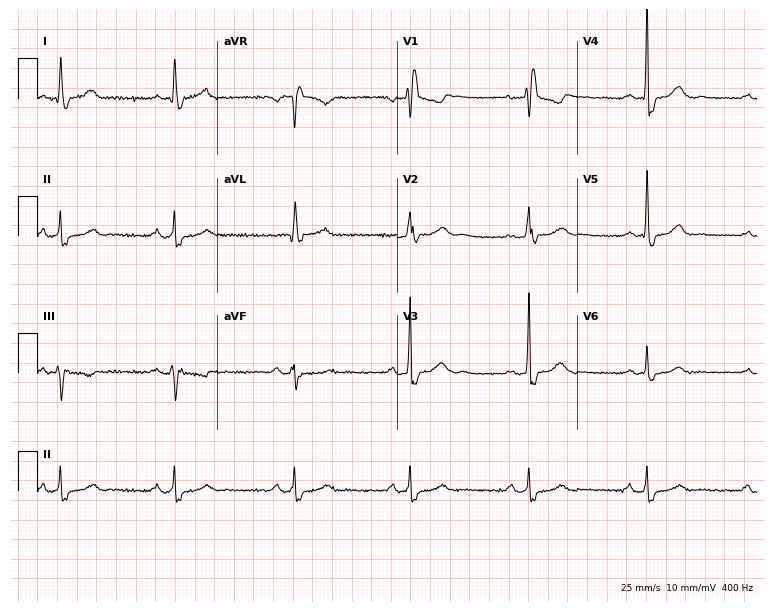
ECG (7.3-second recording at 400 Hz) — a male patient, 75 years old. Findings include right bundle branch block (RBBB), sinus bradycardia (a sinus rate of 50 beats per minute or less).